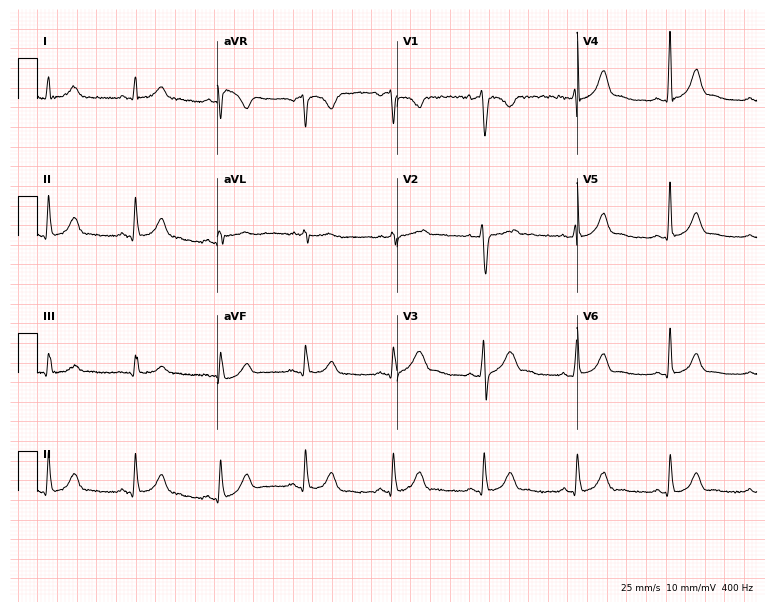
Standard 12-lead ECG recorded from a man, 28 years old. Read as a normal ECG.